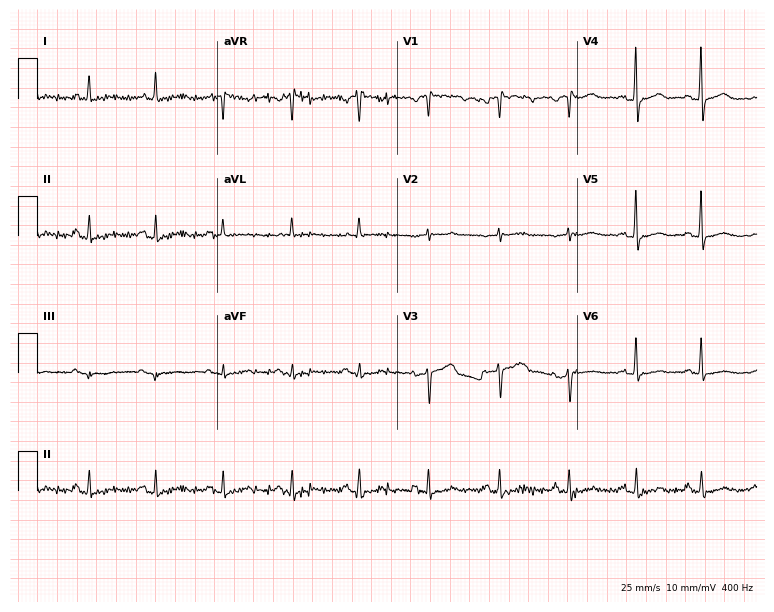
Standard 12-lead ECG recorded from a 63-year-old woman (7.3-second recording at 400 Hz). None of these six findings is recorded: first-degree AV block, right bundle branch block, left bundle branch block, sinus bradycardia, atrial fibrillation, sinus tachycardia.